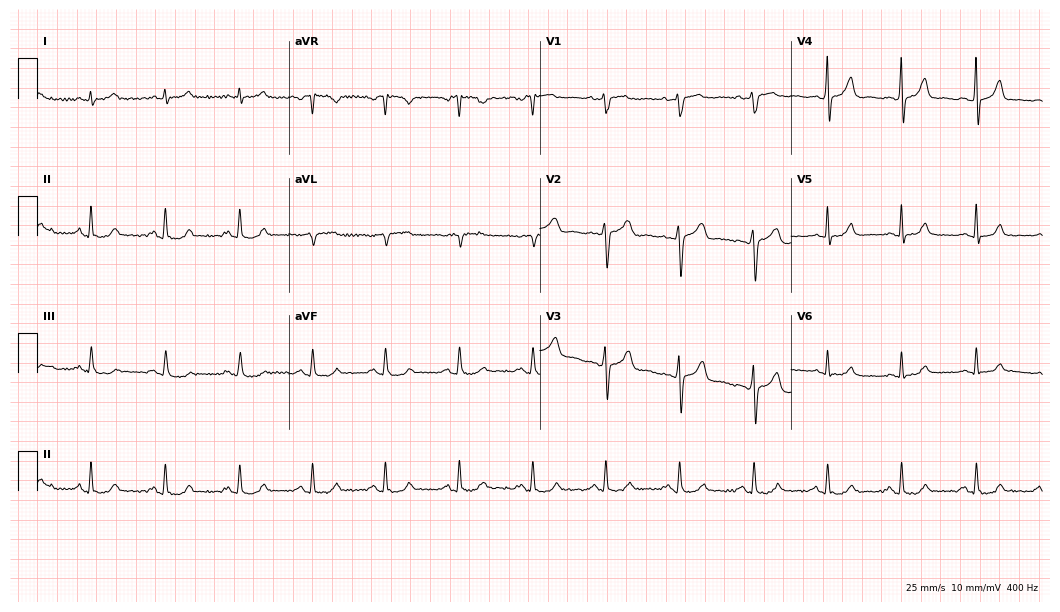
Resting 12-lead electrocardiogram (10.2-second recording at 400 Hz). Patient: a 62-year-old male. None of these six findings is recorded: first-degree AV block, right bundle branch block, left bundle branch block, sinus bradycardia, atrial fibrillation, sinus tachycardia.